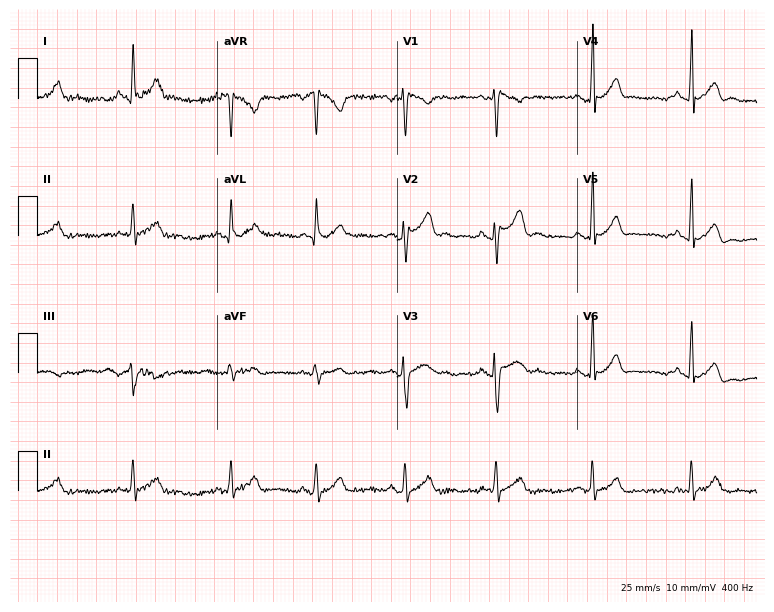
ECG — a 33-year-old male patient. Labelled as a normal ECG.